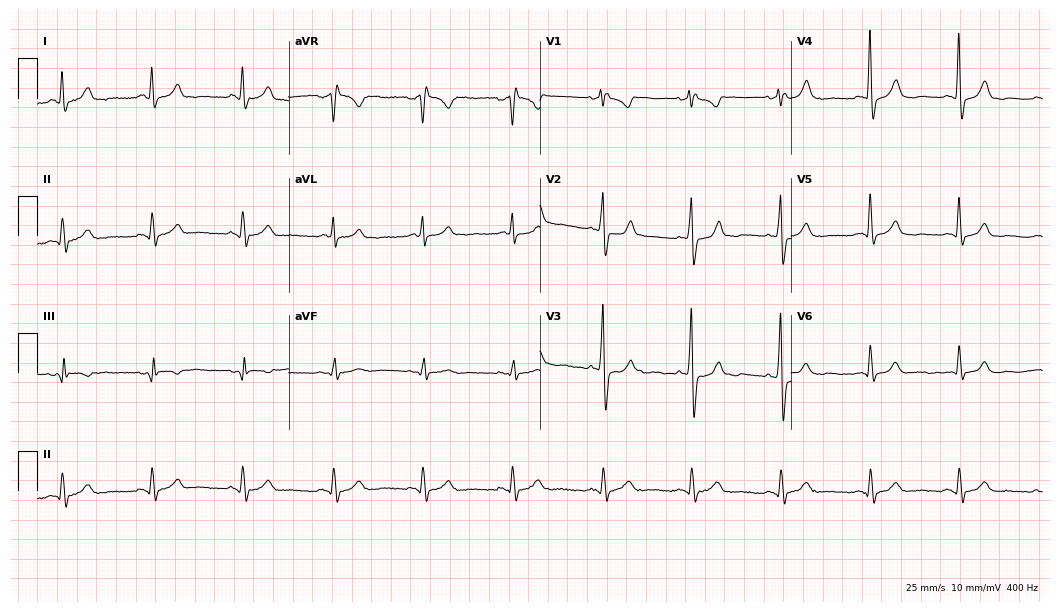
Resting 12-lead electrocardiogram. Patient: a 60-year-old man. None of these six findings is recorded: first-degree AV block, right bundle branch block, left bundle branch block, sinus bradycardia, atrial fibrillation, sinus tachycardia.